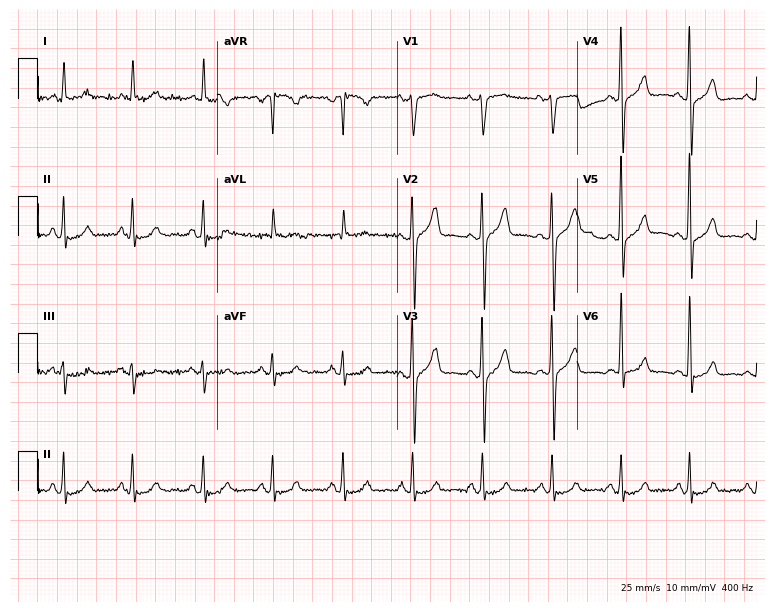
Resting 12-lead electrocardiogram. Patient: a 79-year-old man. None of these six findings is recorded: first-degree AV block, right bundle branch block, left bundle branch block, sinus bradycardia, atrial fibrillation, sinus tachycardia. Other findings, if any, are not listed.